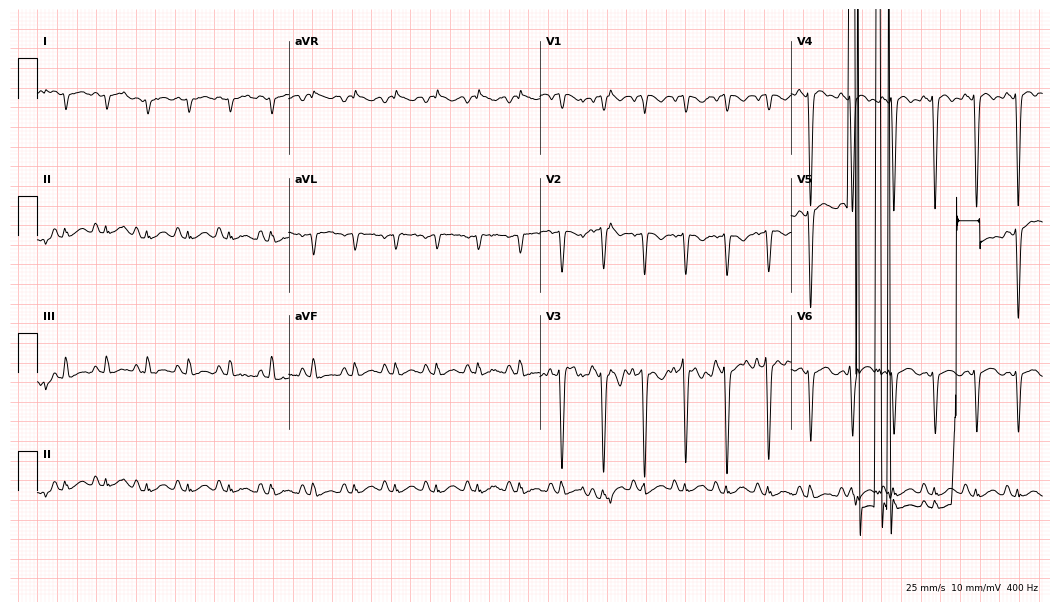
ECG — a 71-year-old male patient. Findings include sinus tachycardia (a sinus rate of 100 beats per minute or more).